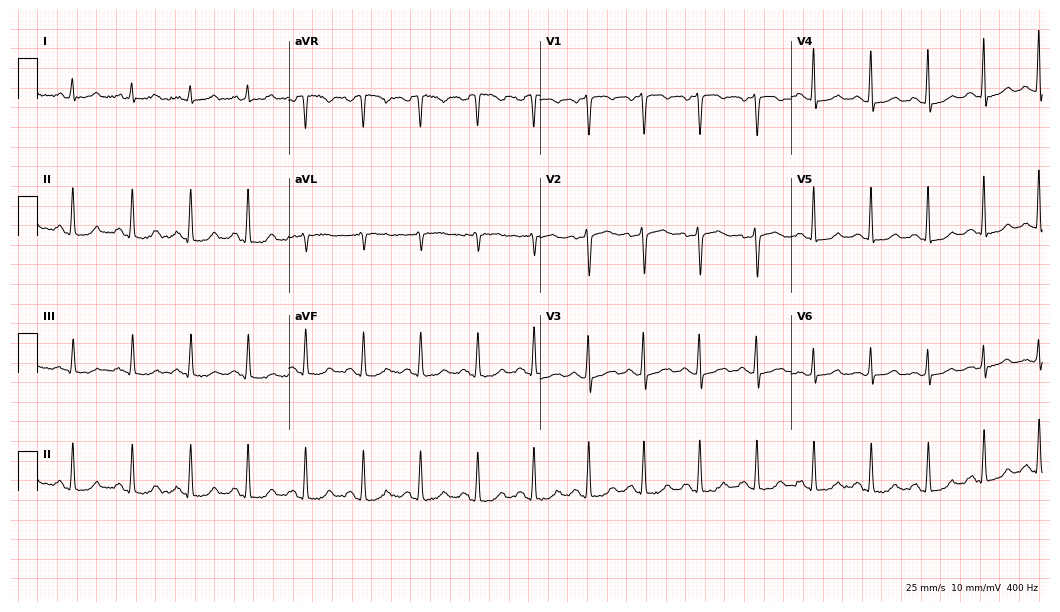
12-lead ECG (10.2-second recording at 400 Hz) from a 50-year-old female patient. Findings include sinus tachycardia (a sinus rate of 100 beats per minute or more).